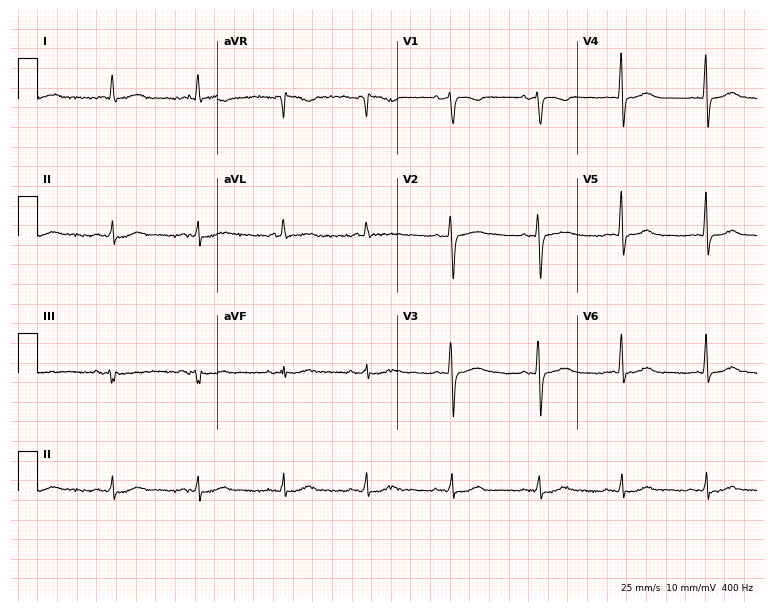
Resting 12-lead electrocardiogram. Patient: a female, 66 years old. None of these six findings is recorded: first-degree AV block, right bundle branch block, left bundle branch block, sinus bradycardia, atrial fibrillation, sinus tachycardia. Only these six findings were labelled.